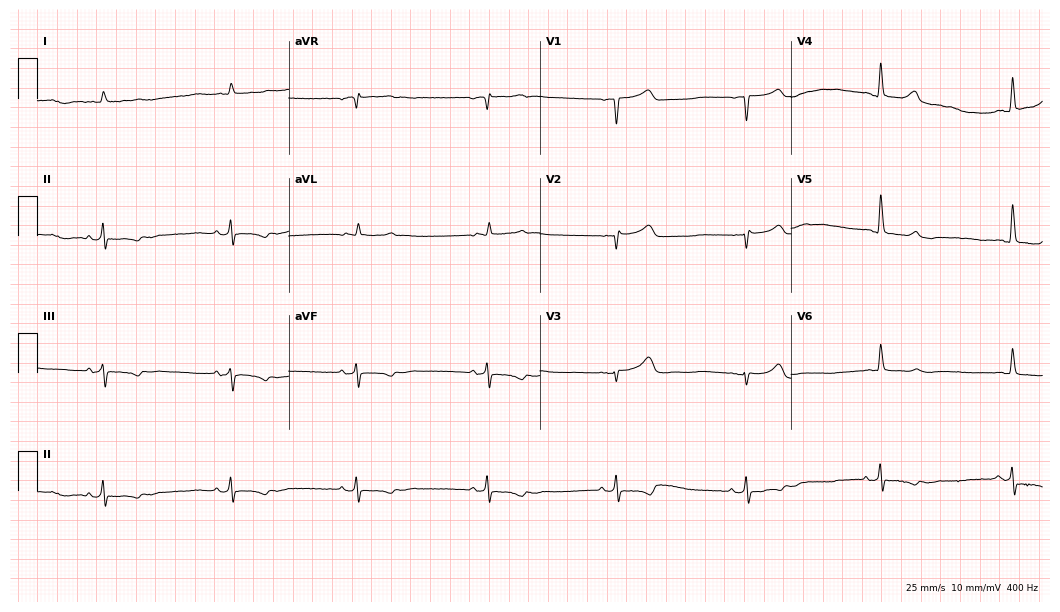
Electrocardiogram, an 83-year-old male. Interpretation includes sinus bradycardia (a sinus rate of 50 beats per minute or less).